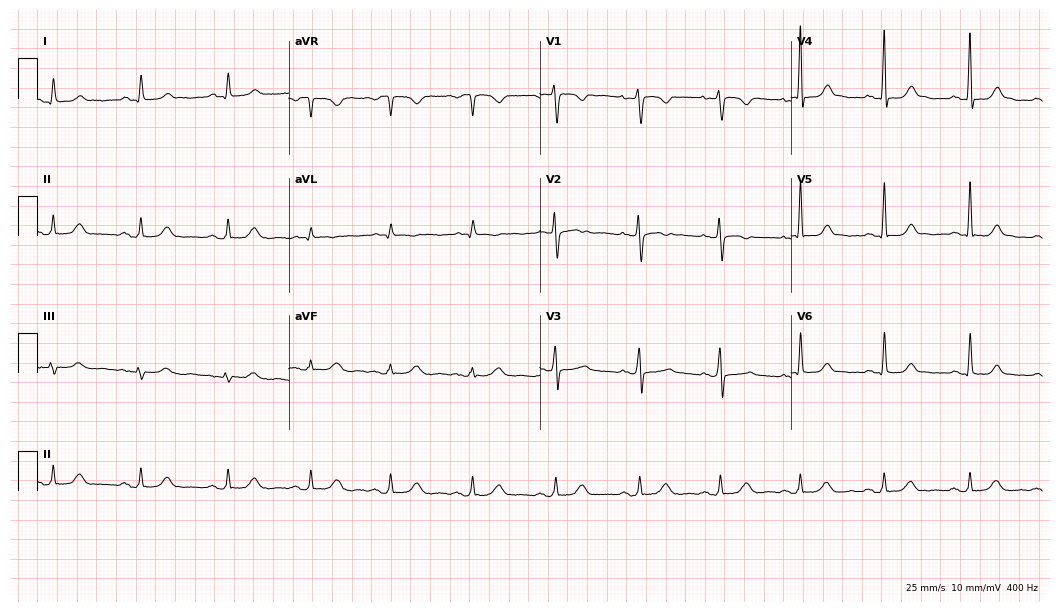
Electrocardiogram (10.2-second recording at 400 Hz), a 38-year-old female patient. Overall reading on record: normal ECG.